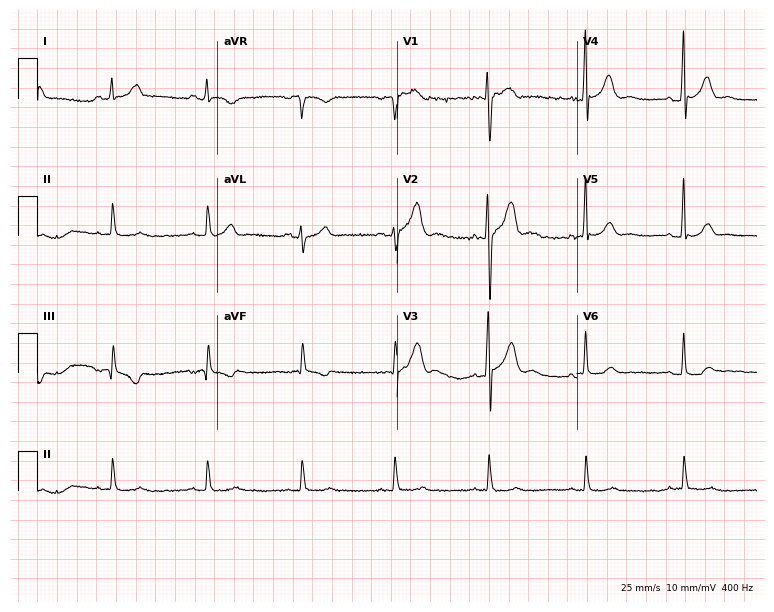
Electrocardiogram, a man, 57 years old. Of the six screened findings (first-degree AV block, right bundle branch block (RBBB), left bundle branch block (LBBB), sinus bradycardia, atrial fibrillation (AF), sinus tachycardia), none is recorded.